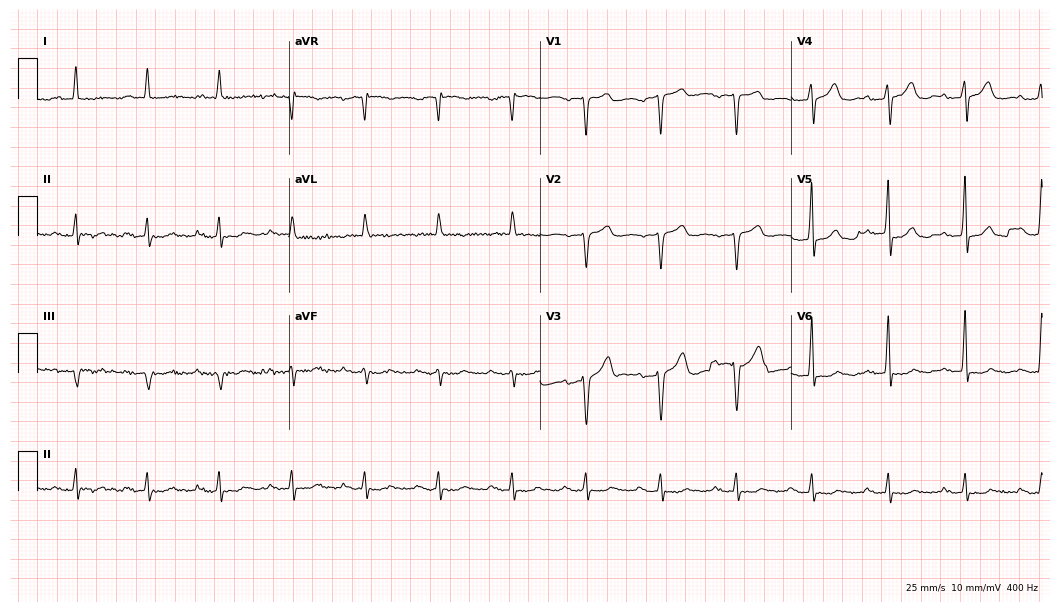
Standard 12-lead ECG recorded from a male, 72 years old (10.2-second recording at 400 Hz). The tracing shows first-degree AV block.